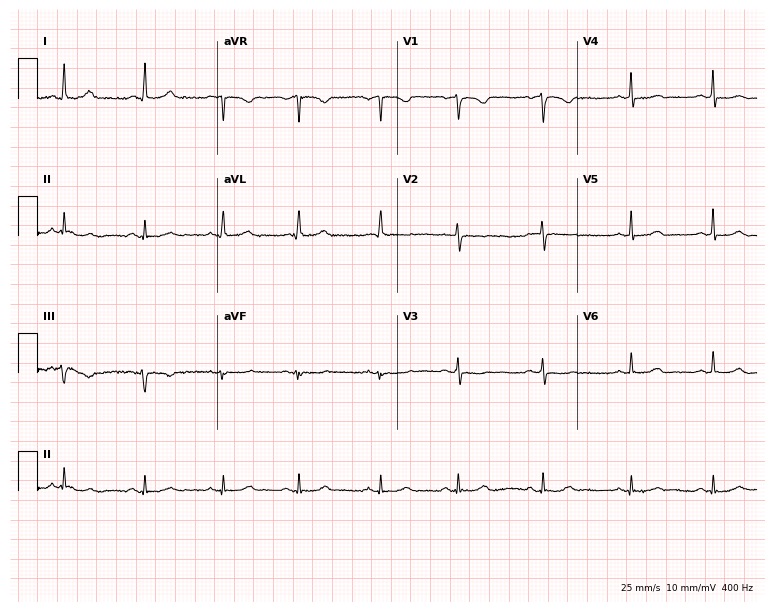
Resting 12-lead electrocardiogram (7.3-second recording at 400 Hz). Patient: a female, 54 years old. None of these six findings is recorded: first-degree AV block, right bundle branch block, left bundle branch block, sinus bradycardia, atrial fibrillation, sinus tachycardia.